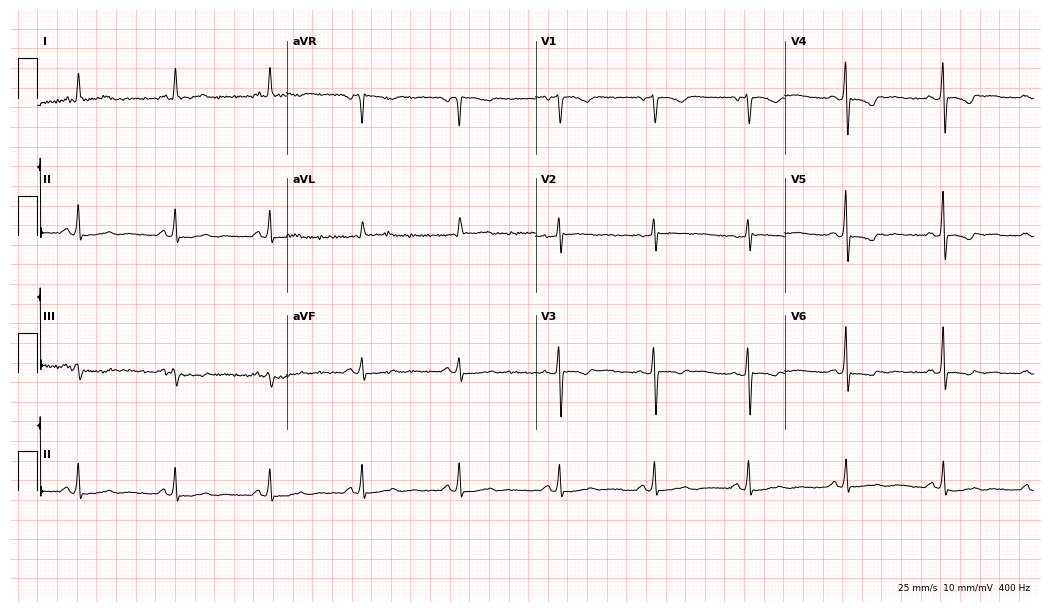
Standard 12-lead ECG recorded from a 62-year-old female patient (10.2-second recording at 400 Hz). None of these six findings is recorded: first-degree AV block, right bundle branch block (RBBB), left bundle branch block (LBBB), sinus bradycardia, atrial fibrillation (AF), sinus tachycardia.